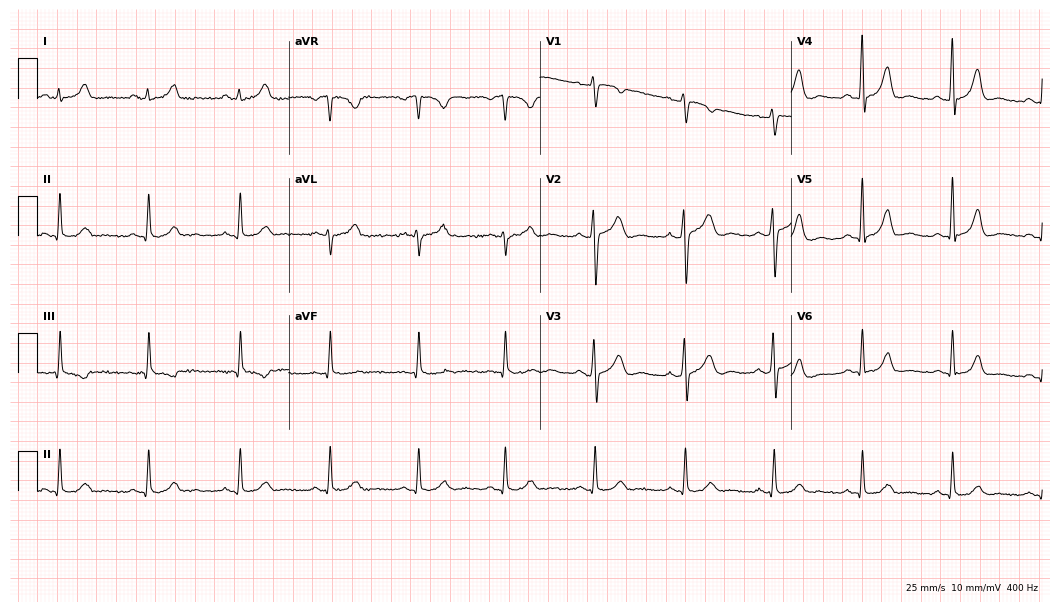
ECG (10.2-second recording at 400 Hz) — a man, 51 years old. Labelled as a normal ECG.